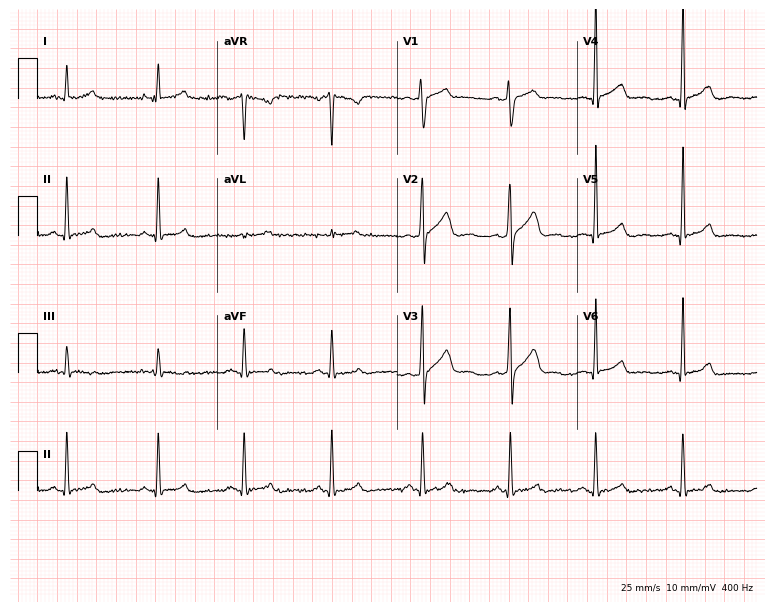
Standard 12-lead ECG recorded from a 35-year-old man (7.3-second recording at 400 Hz). Read as a normal ECG.